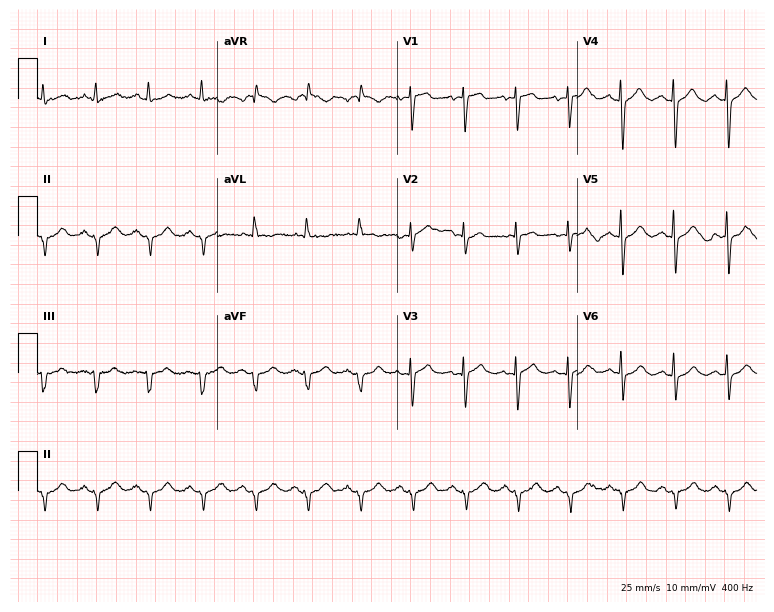
Resting 12-lead electrocardiogram. Patient: a woman, 78 years old. The tracing shows sinus tachycardia (a sinus rate of 100 beats per minute or more).